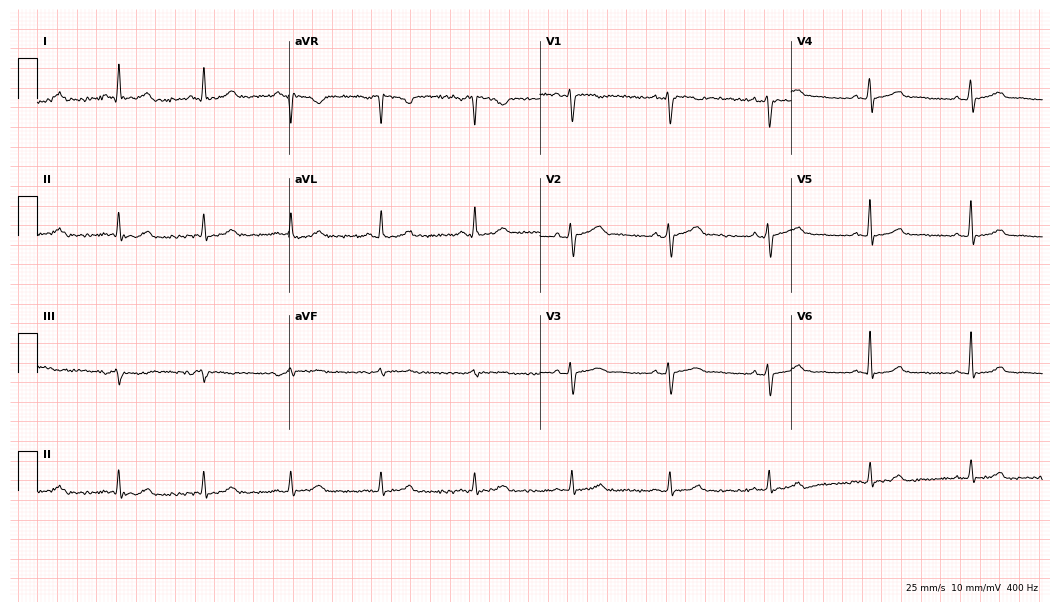
Standard 12-lead ECG recorded from a female patient, 63 years old. Read as a normal ECG.